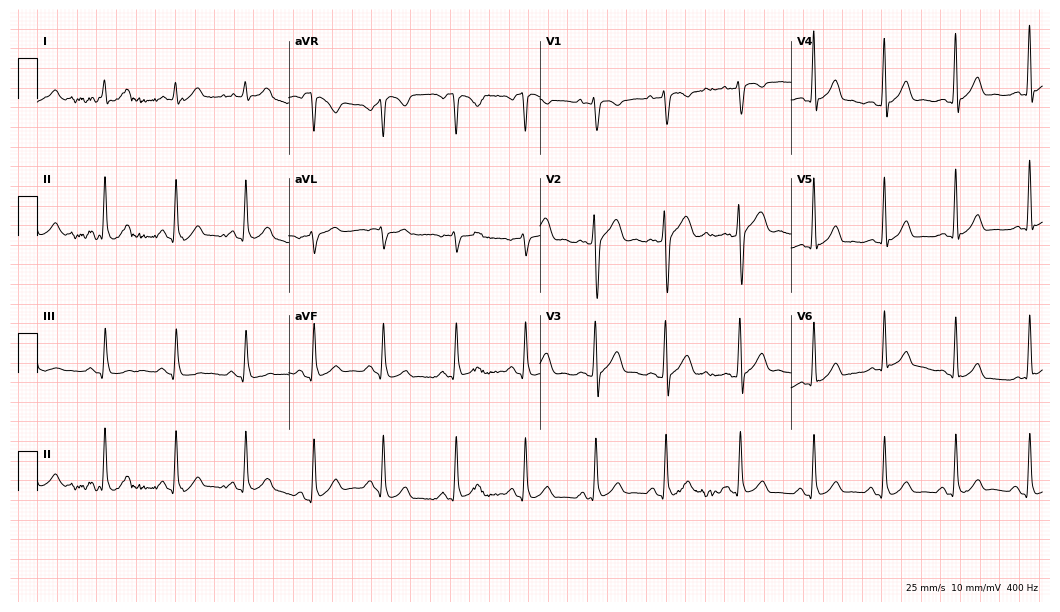
ECG — a male, 22 years old. Labelled as a normal ECG.